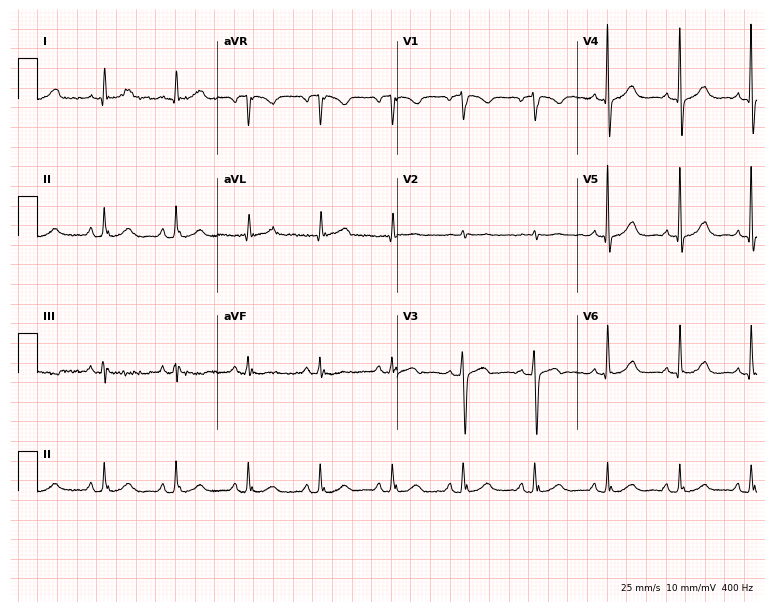
12-lead ECG (7.3-second recording at 400 Hz) from a female, 61 years old. Labelled as a normal ECG.